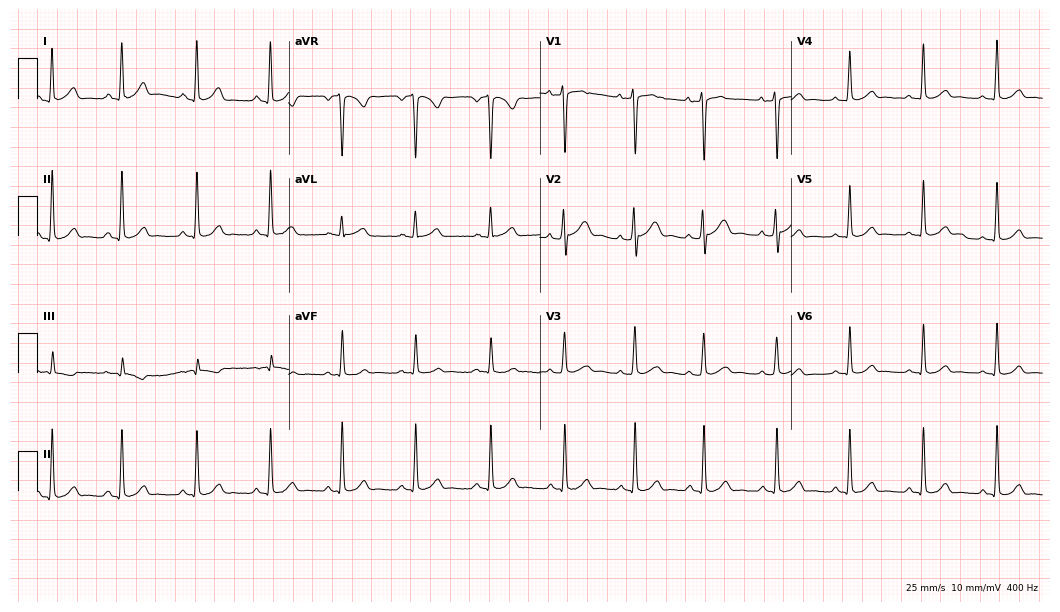
Electrocardiogram (10.2-second recording at 400 Hz), a woman, 23 years old. Overall reading on record: normal ECG.